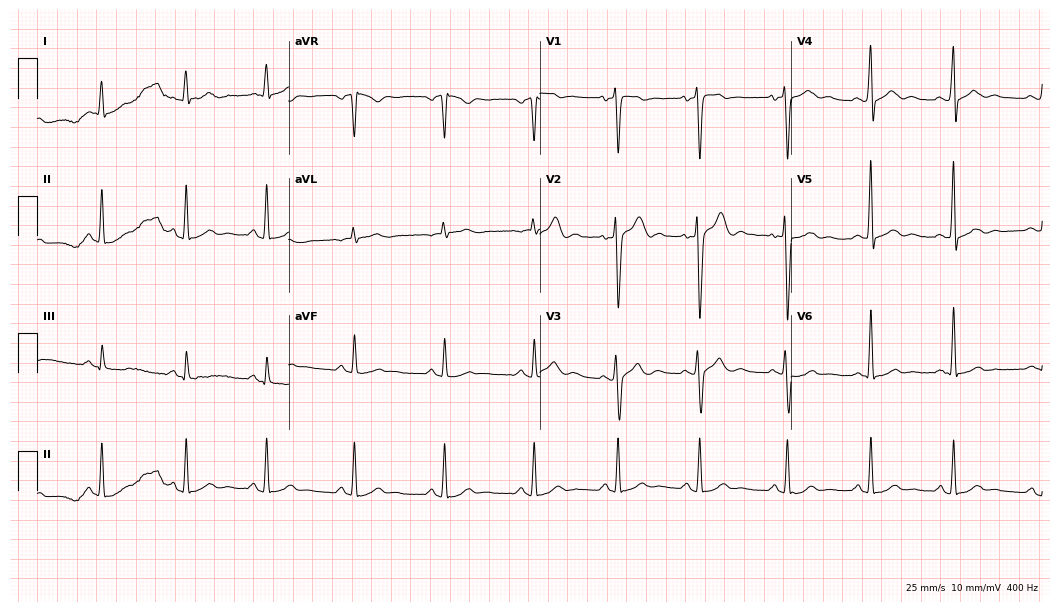
ECG (10.2-second recording at 400 Hz) — a 24-year-old male patient. Screened for six findings — first-degree AV block, right bundle branch block, left bundle branch block, sinus bradycardia, atrial fibrillation, sinus tachycardia — none is recorded. Other findings, if any, are not listed.